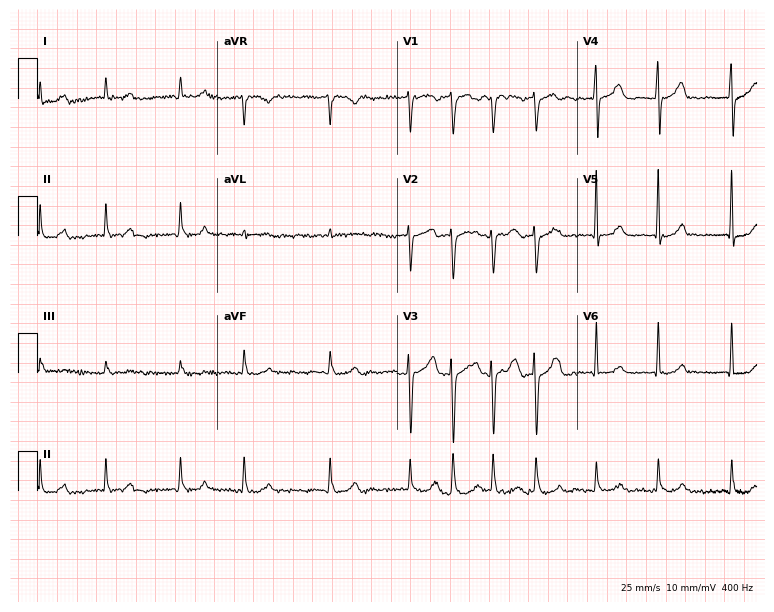
Standard 12-lead ECG recorded from a 34-year-old female. The tracing shows atrial fibrillation.